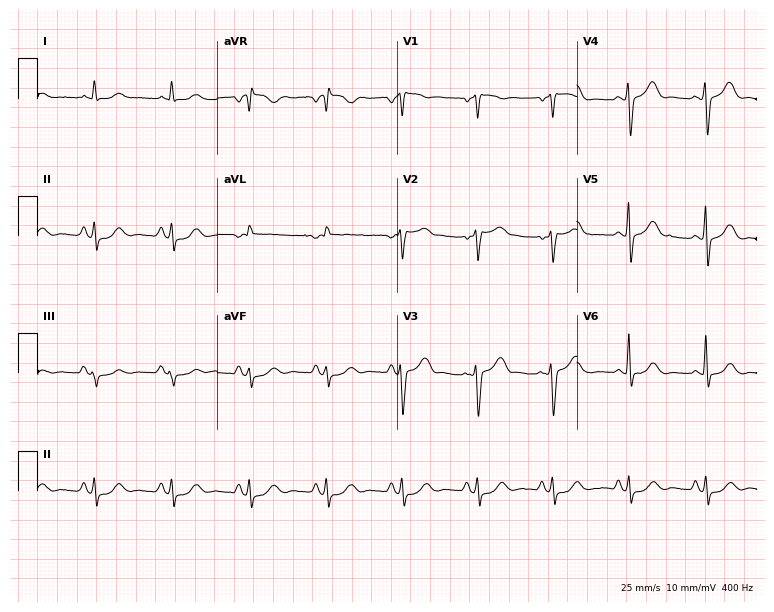
Resting 12-lead electrocardiogram. Patient: a male, 73 years old. None of these six findings is recorded: first-degree AV block, right bundle branch block, left bundle branch block, sinus bradycardia, atrial fibrillation, sinus tachycardia. Only these six findings were labelled.